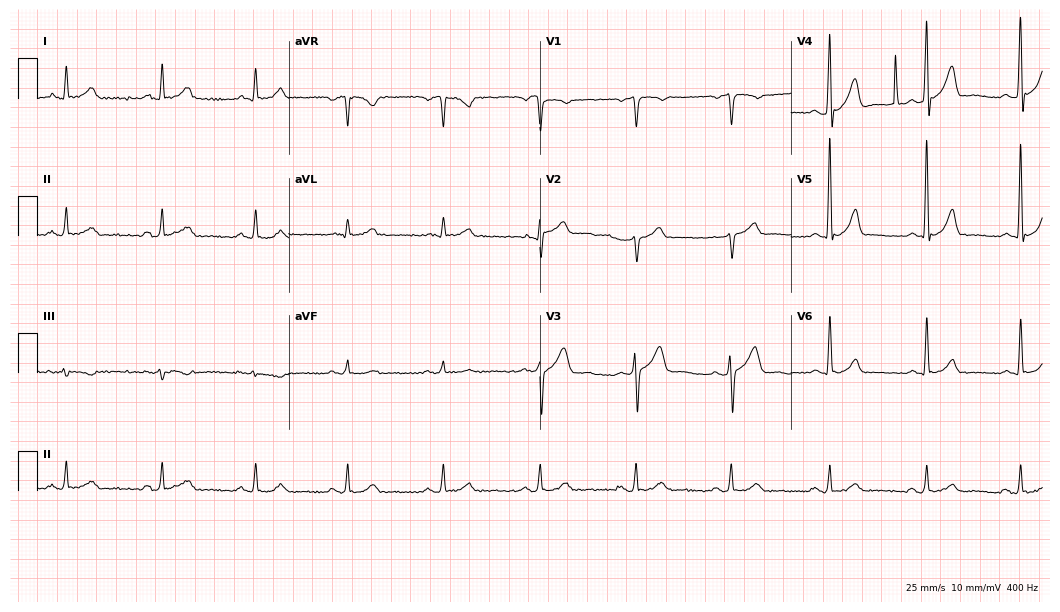
Electrocardiogram, a male patient, 53 years old. Of the six screened findings (first-degree AV block, right bundle branch block (RBBB), left bundle branch block (LBBB), sinus bradycardia, atrial fibrillation (AF), sinus tachycardia), none is recorded.